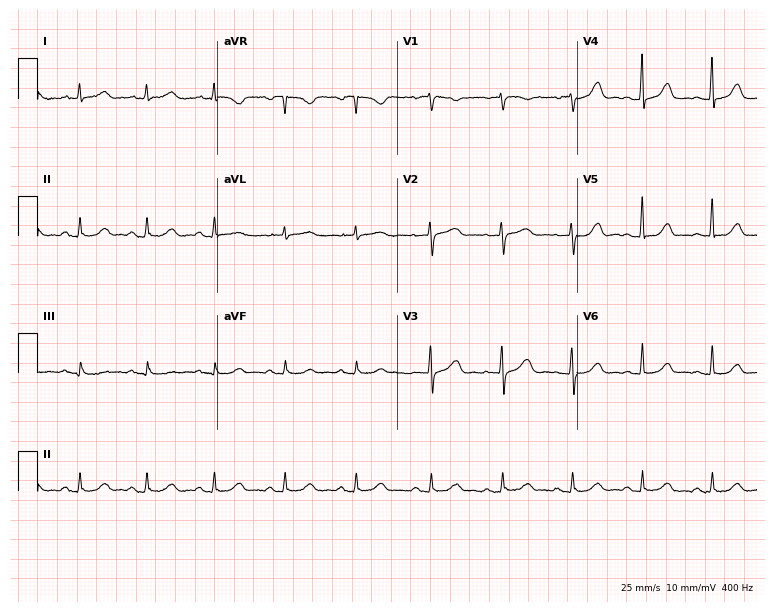
Standard 12-lead ECG recorded from a female, 65 years old (7.3-second recording at 400 Hz). Read as a normal ECG.